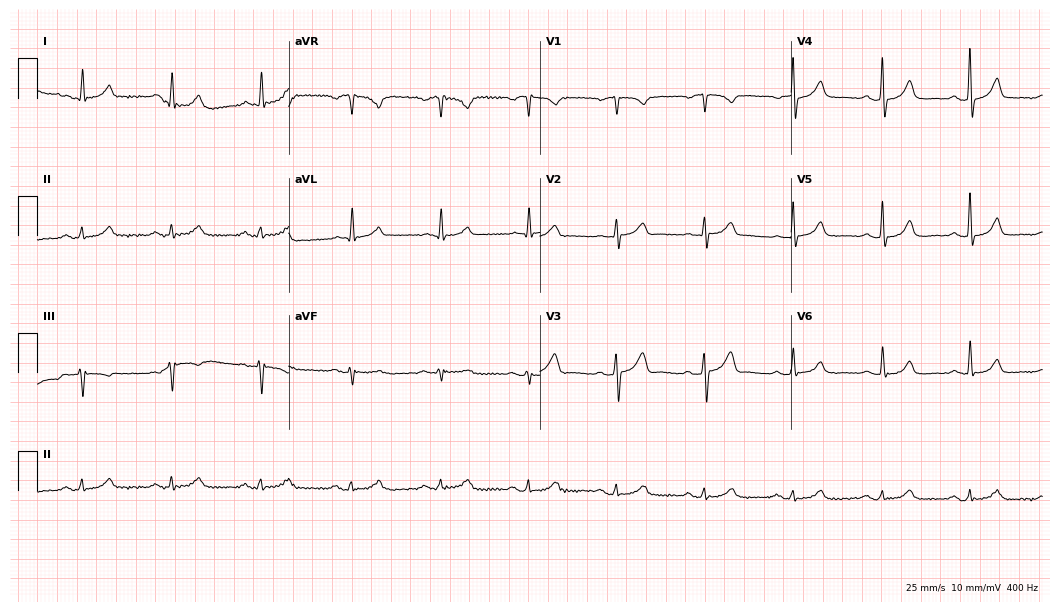
Electrocardiogram, a 59-year-old male. Of the six screened findings (first-degree AV block, right bundle branch block, left bundle branch block, sinus bradycardia, atrial fibrillation, sinus tachycardia), none is recorded.